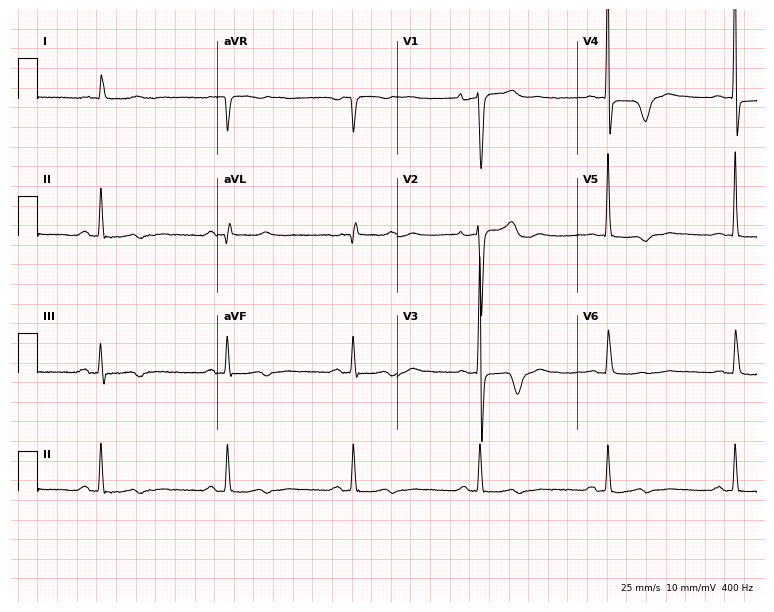
12-lead ECG (7.3-second recording at 400 Hz) from an 84-year-old female patient. Screened for six findings — first-degree AV block, right bundle branch block (RBBB), left bundle branch block (LBBB), sinus bradycardia, atrial fibrillation (AF), sinus tachycardia — none is recorded. Only these six findings were labelled.